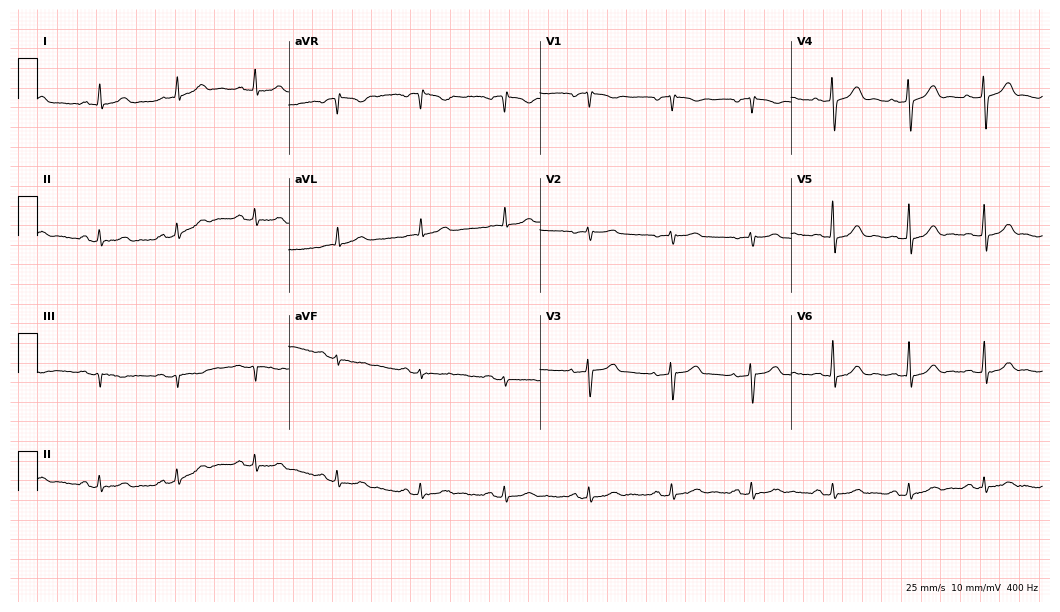
12-lead ECG (10.2-second recording at 400 Hz) from a 68-year-old male. Screened for six findings — first-degree AV block, right bundle branch block (RBBB), left bundle branch block (LBBB), sinus bradycardia, atrial fibrillation (AF), sinus tachycardia — none is recorded. Other findings, if any, are not listed.